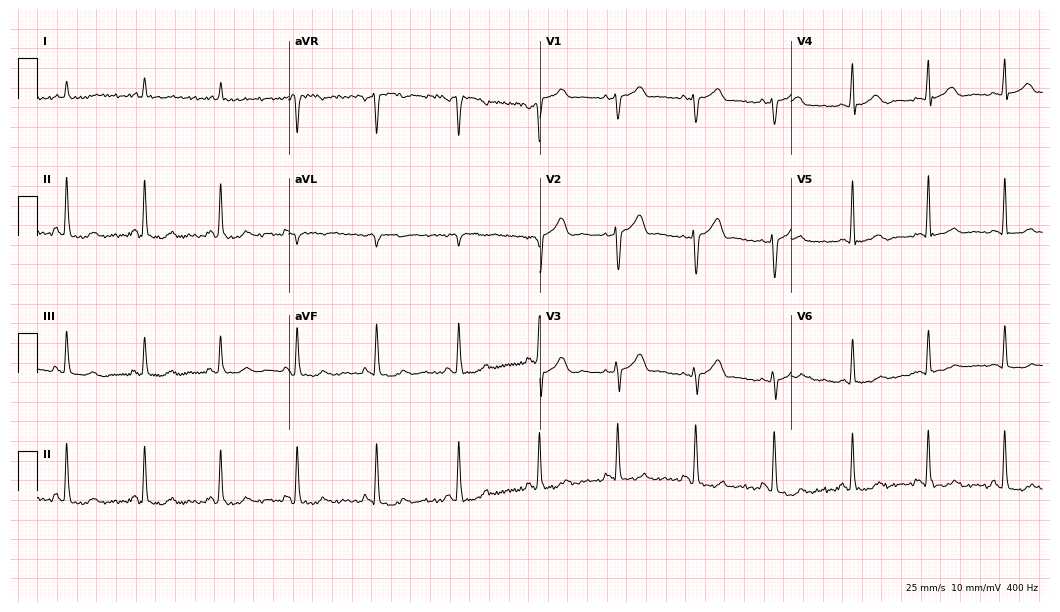
ECG (10.2-second recording at 400 Hz) — a man, 58 years old. Screened for six findings — first-degree AV block, right bundle branch block, left bundle branch block, sinus bradycardia, atrial fibrillation, sinus tachycardia — none is recorded. Only these six findings were labelled.